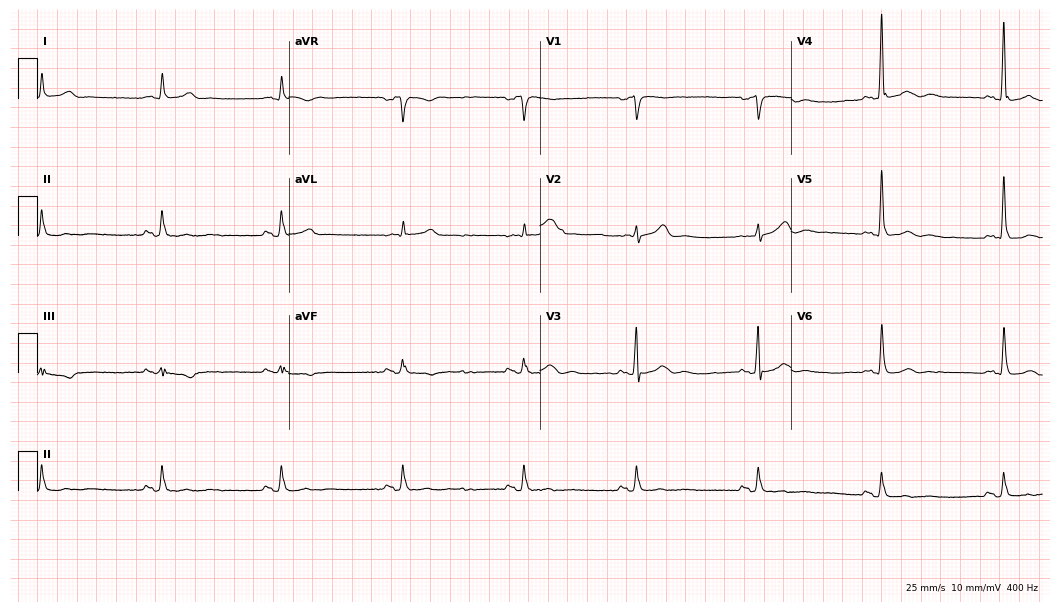
ECG (10.2-second recording at 400 Hz) — a male patient, 81 years old. Findings include sinus bradycardia (a sinus rate of 50 beats per minute or less).